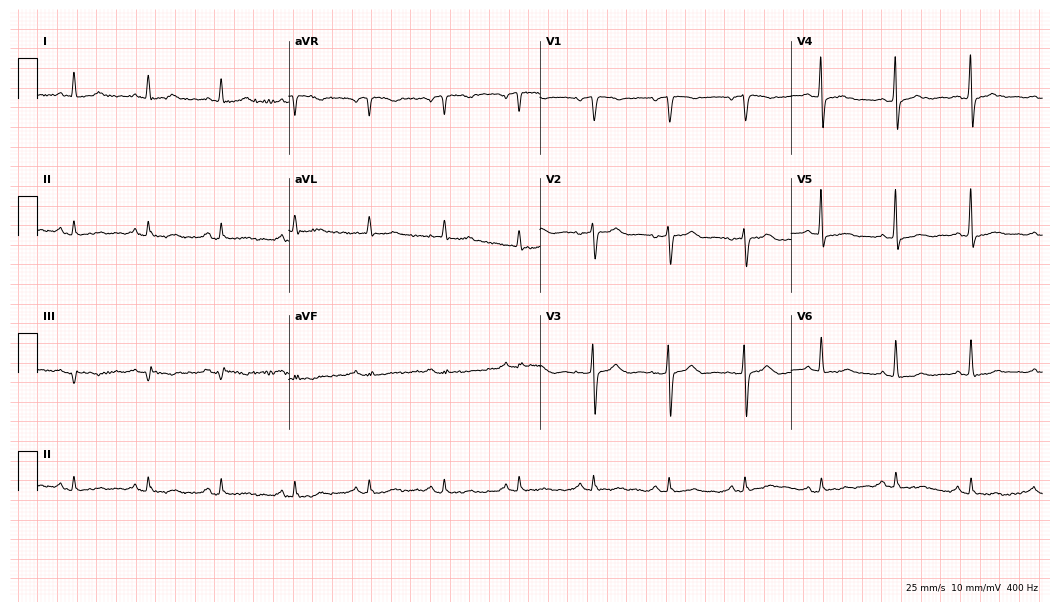
ECG — a 66-year-old female. Screened for six findings — first-degree AV block, right bundle branch block, left bundle branch block, sinus bradycardia, atrial fibrillation, sinus tachycardia — none is recorded. Other findings, if any, are not listed.